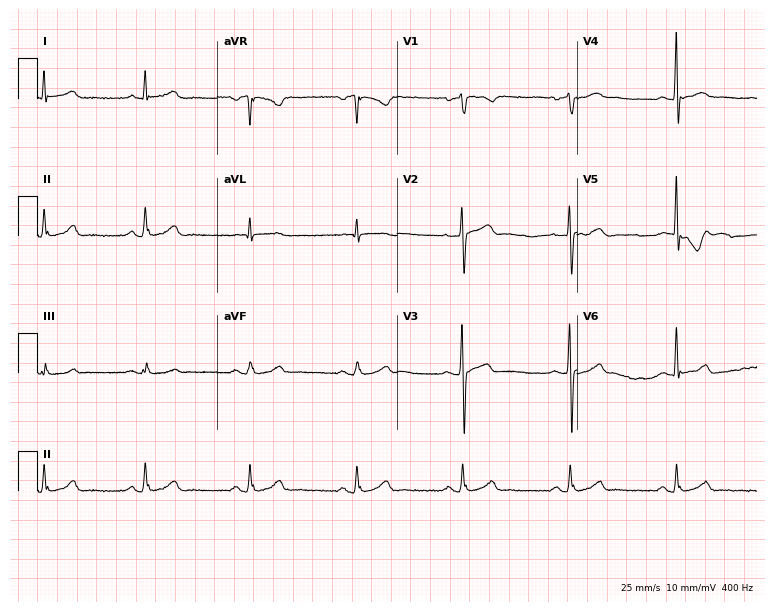
12-lead ECG from a 48-year-old male. Recorded interpretation: within normal limits.